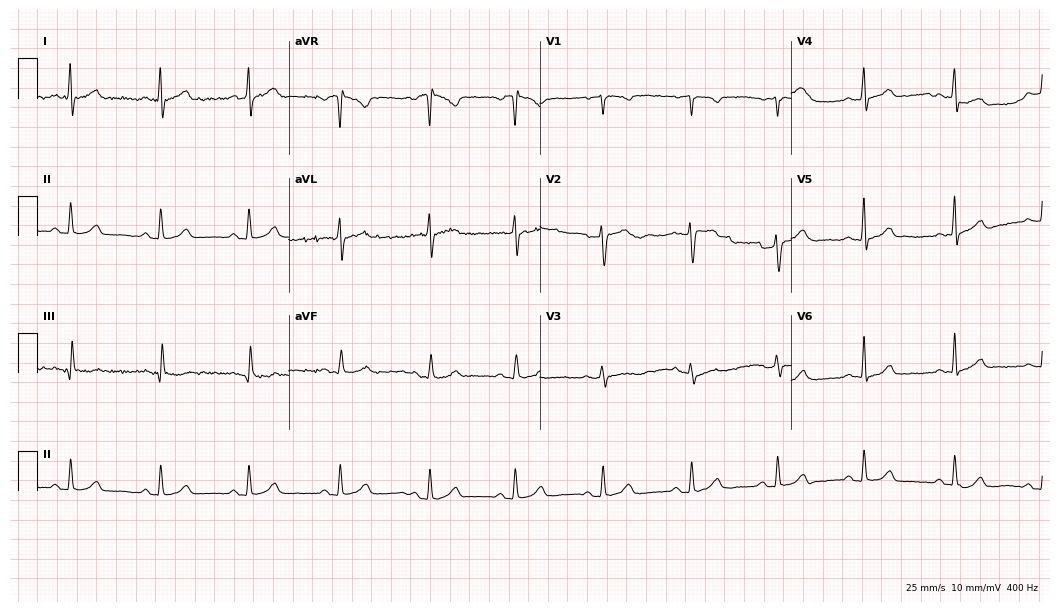
Standard 12-lead ECG recorded from a female patient, 41 years old (10.2-second recording at 400 Hz). Read as a normal ECG.